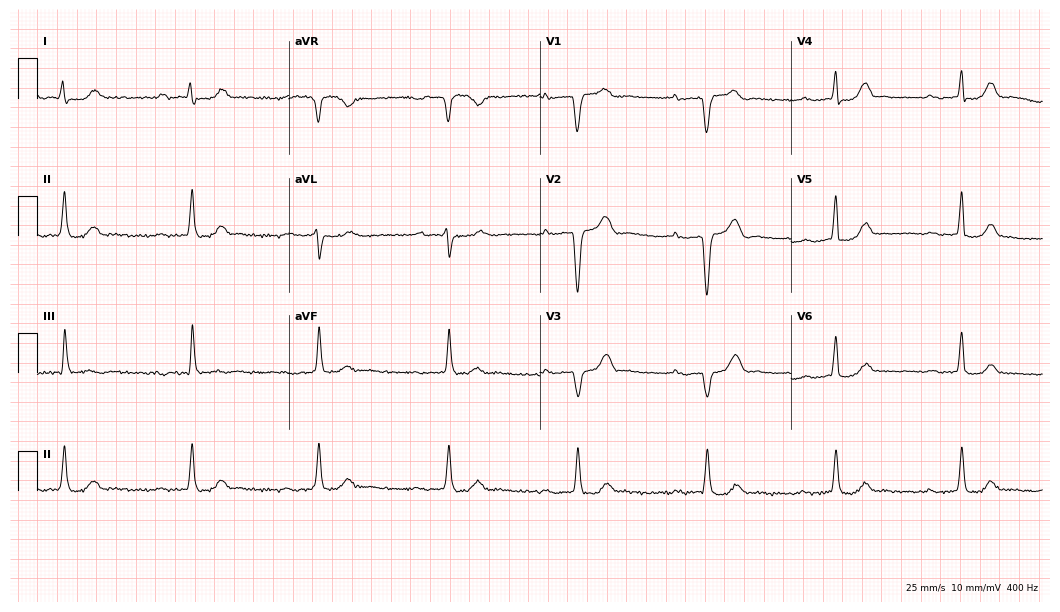
Standard 12-lead ECG recorded from a male, 71 years old. The tracing shows first-degree AV block, sinus bradycardia (a sinus rate of 50 beats per minute or less).